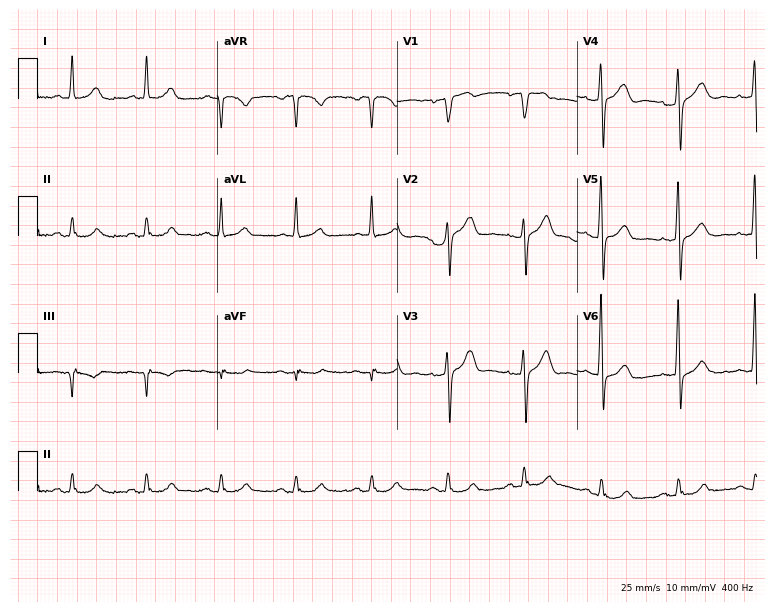
12-lead ECG (7.3-second recording at 400 Hz) from a male, 53 years old. Screened for six findings — first-degree AV block, right bundle branch block, left bundle branch block, sinus bradycardia, atrial fibrillation, sinus tachycardia — none is recorded.